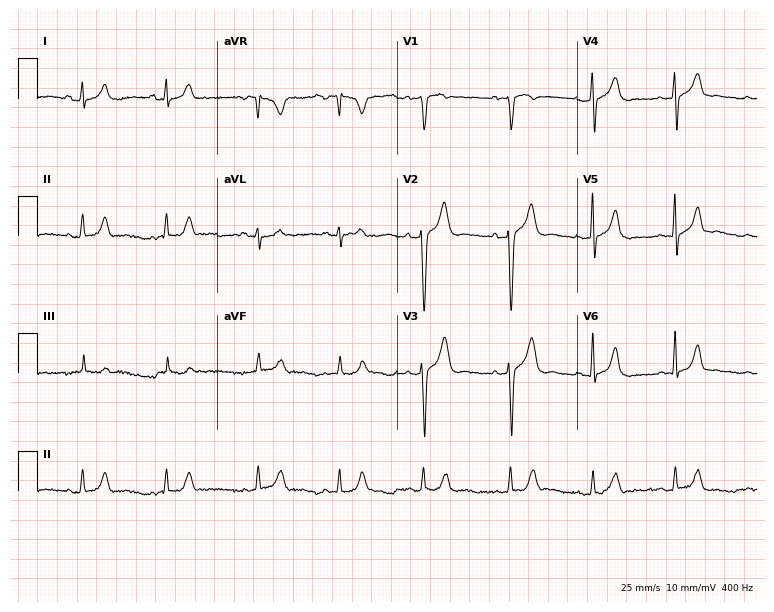
Resting 12-lead electrocardiogram (7.3-second recording at 400 Hz). Patient: a 20-year-old female. Read as a normal ECG.